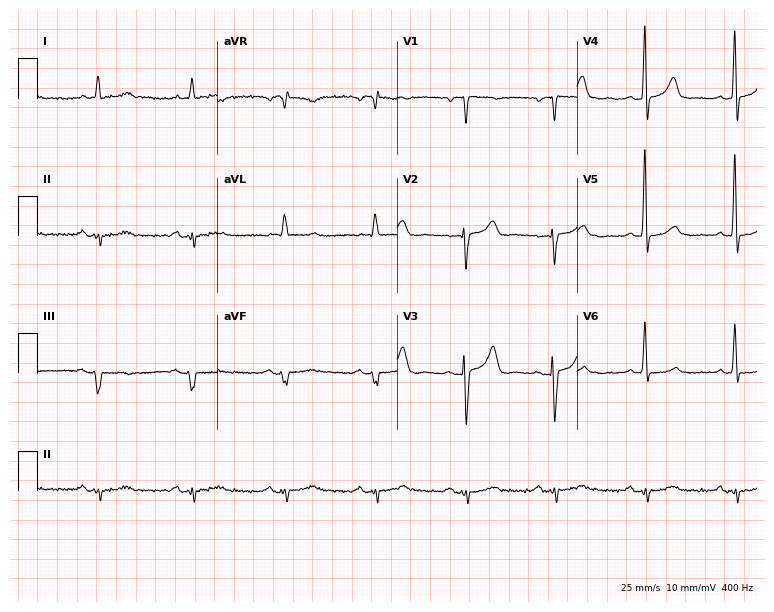
ECG — a 66-year-old male. Screened for six findings — first-degree AV block, right bundle branch block (RBBB), left bundle branch block (LBBB), sinus bradycardia, atrial fibrillation (AF), sinus tachycardia — none is recorded. Other findings, if any, are not listed.